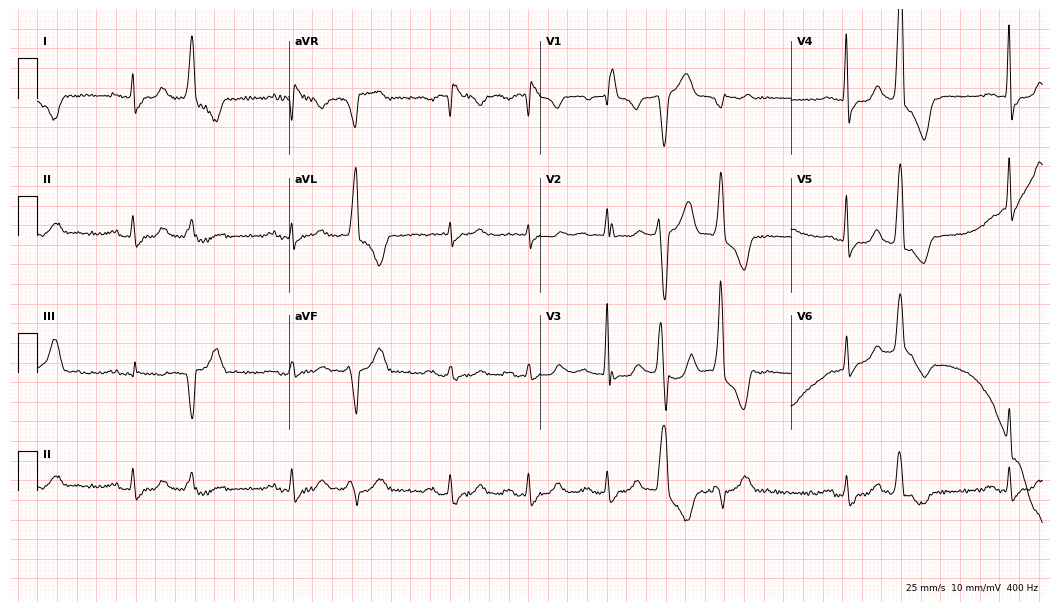
12-lead ECG from a female patient, 82 years old (10.2-second recording at 400 Hz). No first-degree AV block, right bundle branch block, left bundle branch block, sinus bradycardia, atrial fibrillation or sinus tachycardia recorded for this tracing. Only these six findings were labelled.